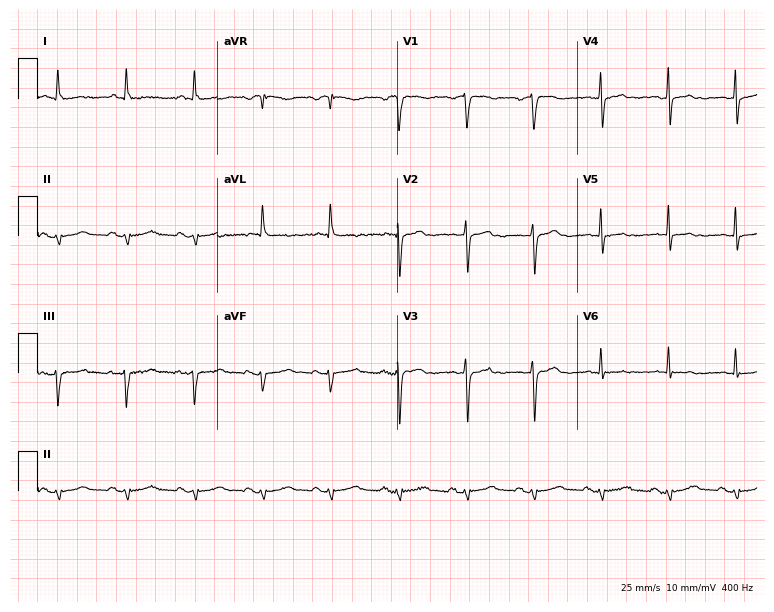
ECG — a woman, 85 years old. Labelled as a normal ECG.